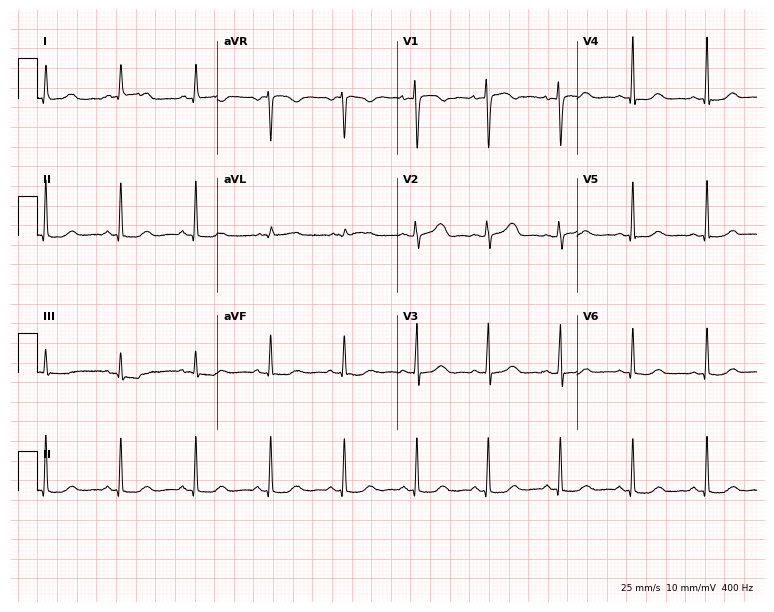
Standard 12-lead ECG recorded from a woman, 52 years old (7.3-second recording at 400 Hz). Read as a normal ECG.